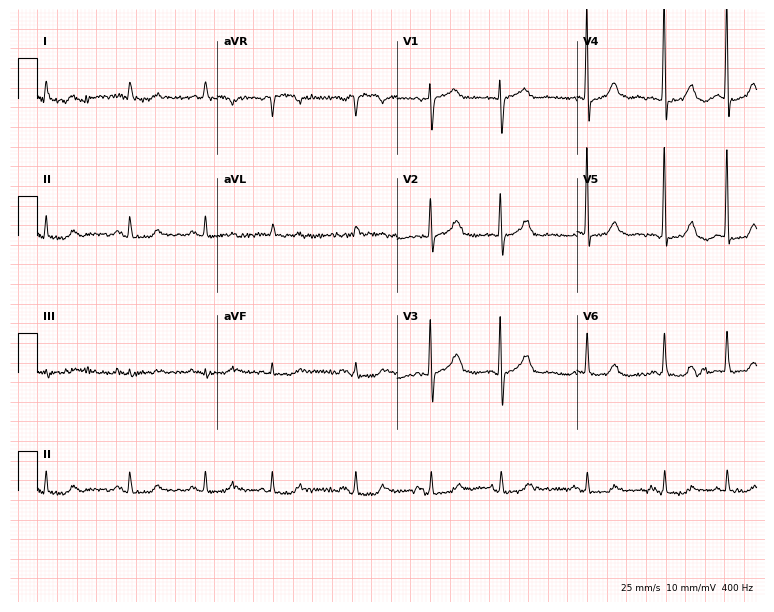
Electrocardiogram, a woman, 83 years old. Overall reading on record: normal ECG.